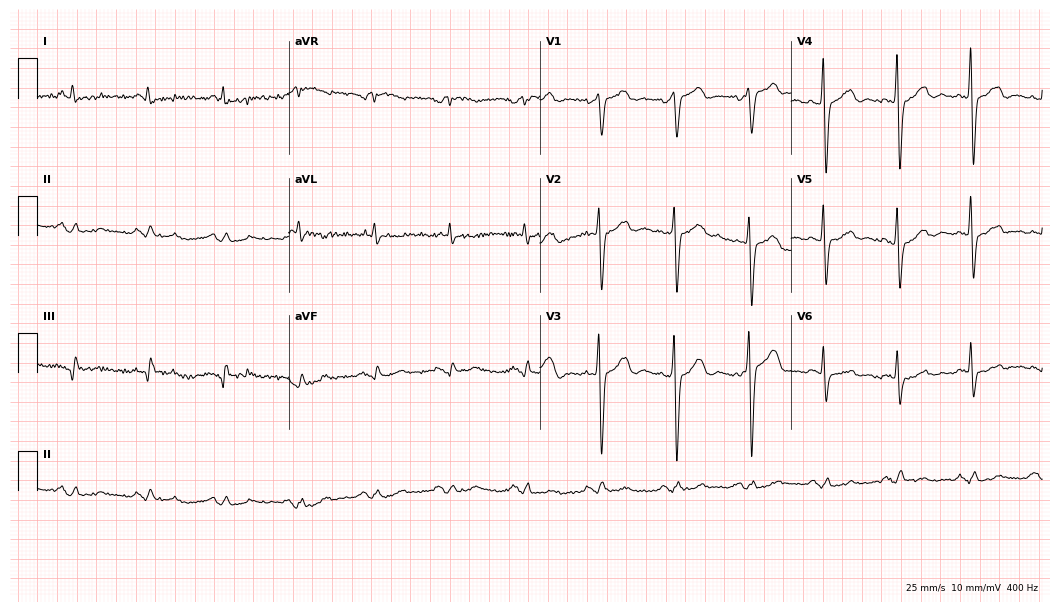
Resting 12-lead electrocardiogram. Patient: a female, 67 years old. None of these six findings is recorded: first-degree AV block, right bundle branch block, left bundle branch block, sinus bradycardia, atrial fibrillation, sinus tachycardia. Findings outside these six are not listed.